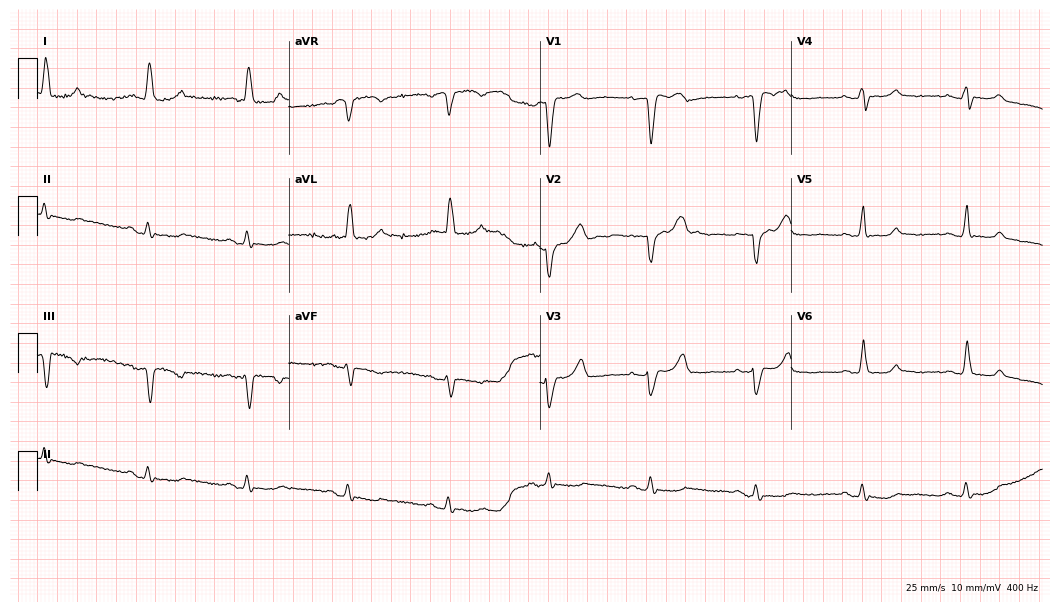
ECG — an 83-year-old female patient. Findings include left bundle branch block.